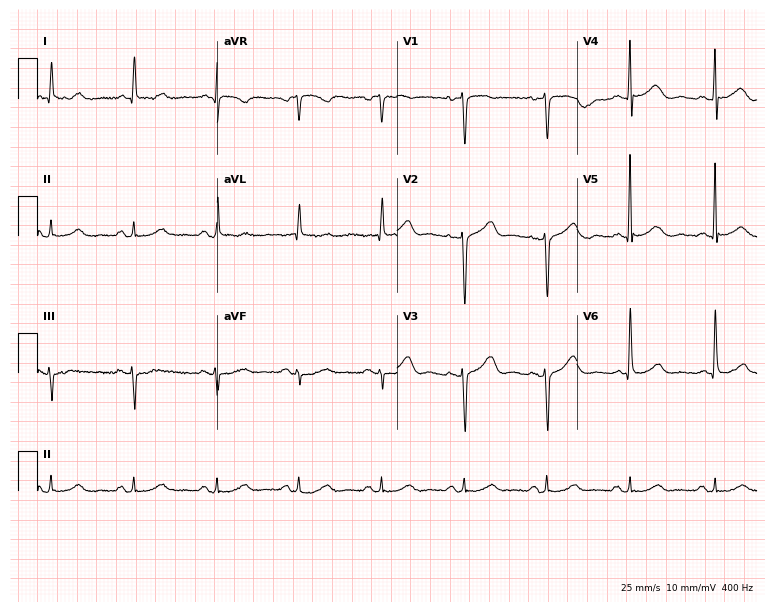
Standard 12-lead ECG recorded from a 77-year-old woman (7.3-second recording at 400 Hz). Read as a normal ECG.